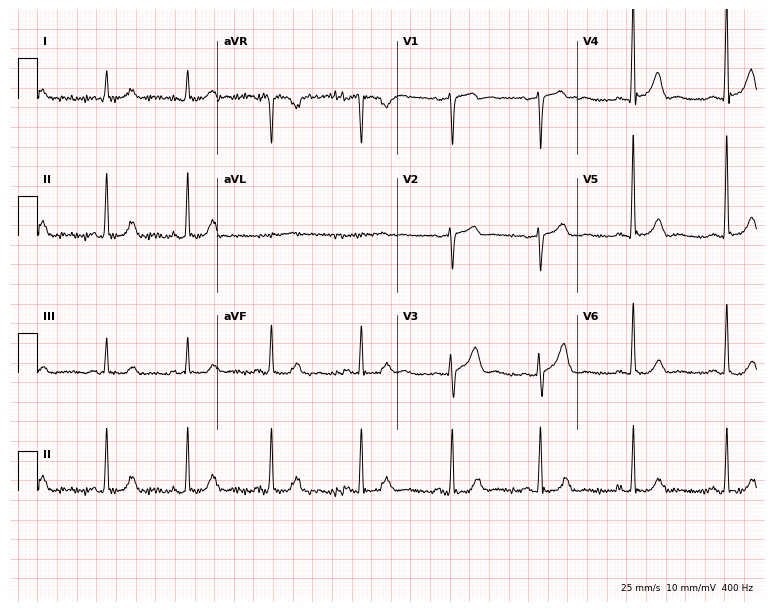
12-lead ECG from a 58-year-old male patient. Labelled as a normal ECG.